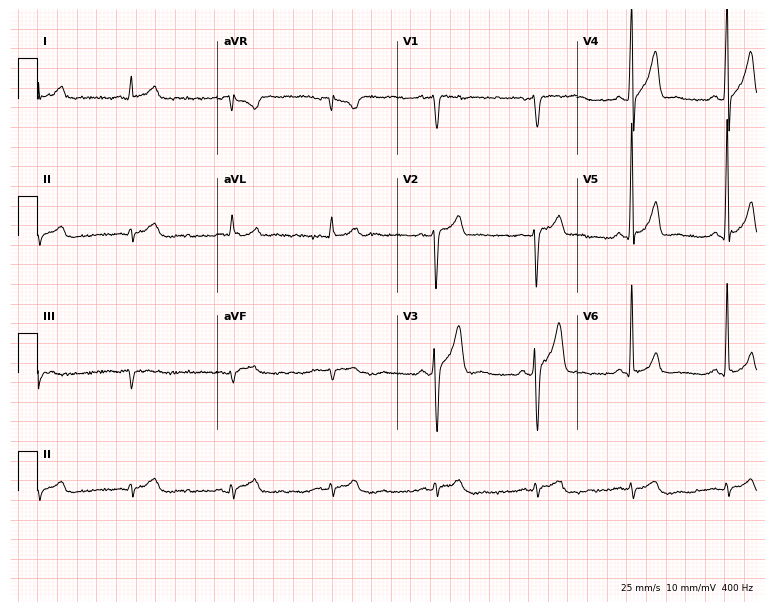
Resting 12-lead electrocardiogram (7.3-second recording at 400 Hz). Patient: a male, 35 years old. None of these six findings is recorded: first-degree AV block, right bundle branch block, left bundle branch block, sinus bradycardia, atrial fibrillation, sinus tachycardia. Only these six findings were labelled.